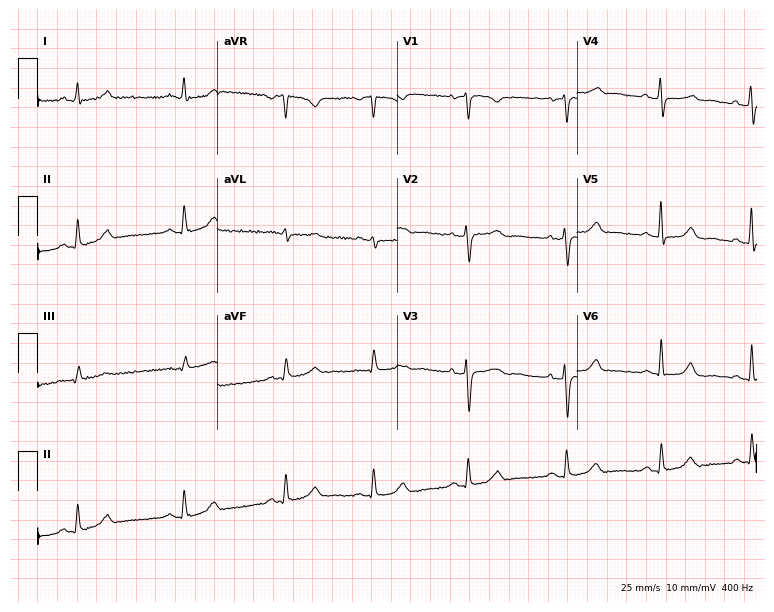
12-lead ECG from a 54-year-old female (7.3-second recording at 400 Hz). No first-degree AV block, right bundle branch block, left bundle branch block, sinus bradycardia, atrial fibrillation or sinus tachycardia recorded for this tracing.